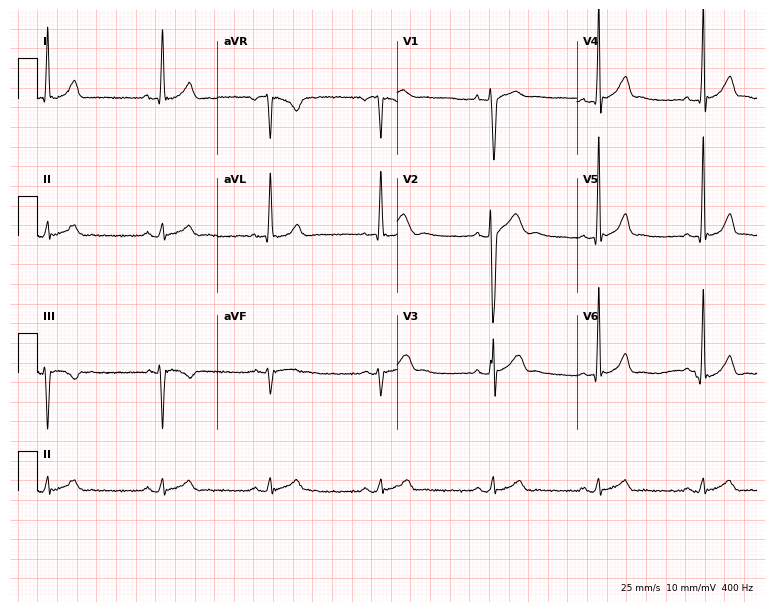
Electrocardiogram, a man, 21 years old. Overall reading on record: normal ECG.